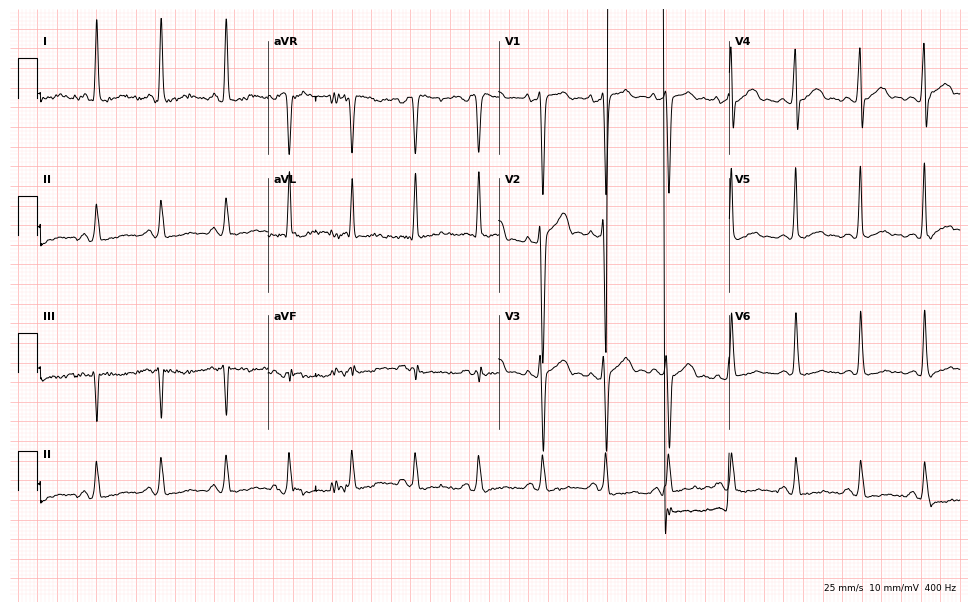
ECG (9.4-second recording at 400 Hz) — a 41-year-old male patient. Screened for six findings — first-degree AV block, right bundle branch block, left bundle branch block, sinus bradycardia, atrial fibrillation, sinus tachycardia — none is recorded. Other findings, if any, are not listed.